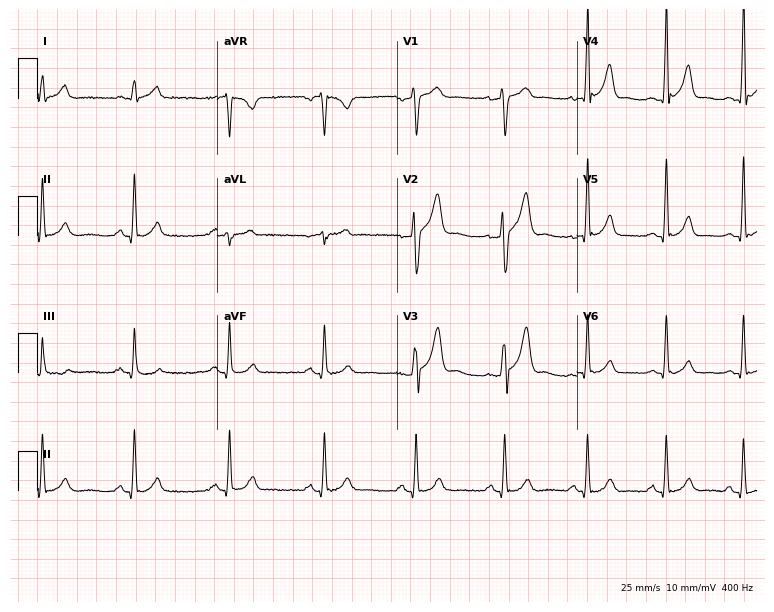
12-lead ECG from a 36-year-old male. Labelled as a normal ECG.